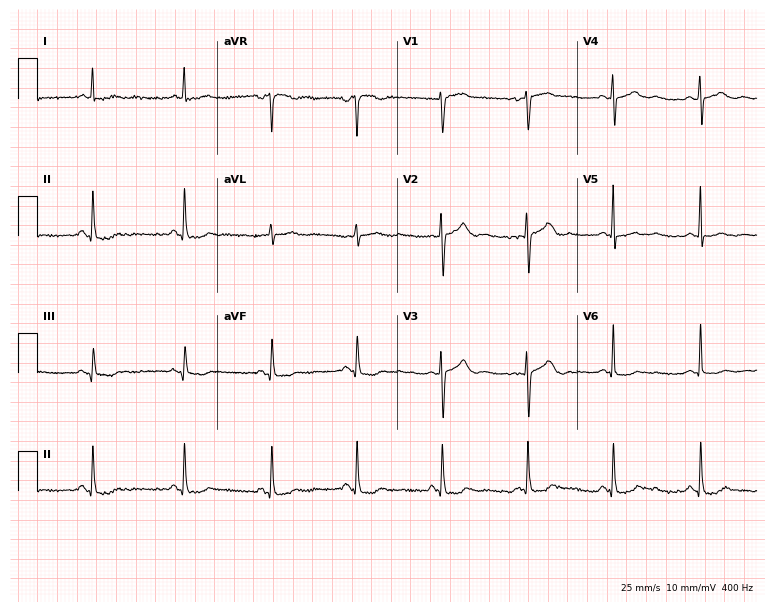
ECG (7.3-second recording at 400 Hz) — a female, 51 years old. Screened for six findings — first-degree AV block, right bundle branch block, left bundle branch block, sinus bradycardia, atrial fibrillation, sinus tachycardia — none is recorded. Other findings, if any, are not listed.